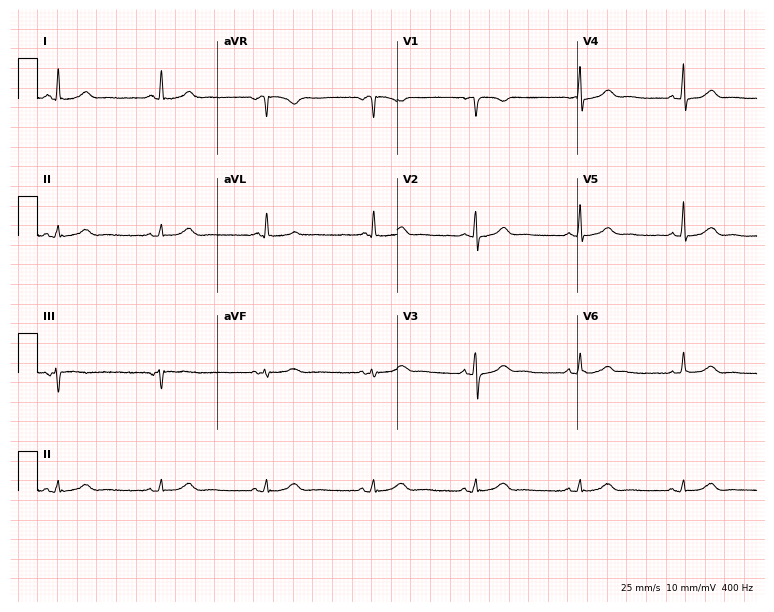
12-lead ECG (7.3-second recording at 400 Hz) from a female, 57 years old. Labelled as a normal ECG.